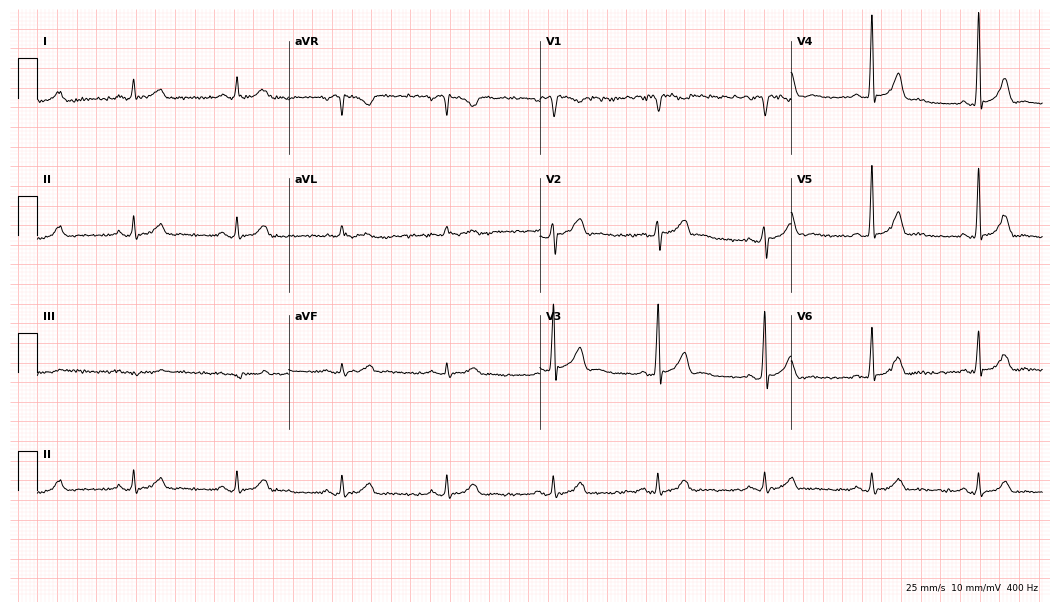
12-lead ECG from a 60-year-old man (10.2-second recording at 400 Hz). Recorded interpretation: within normal limits.